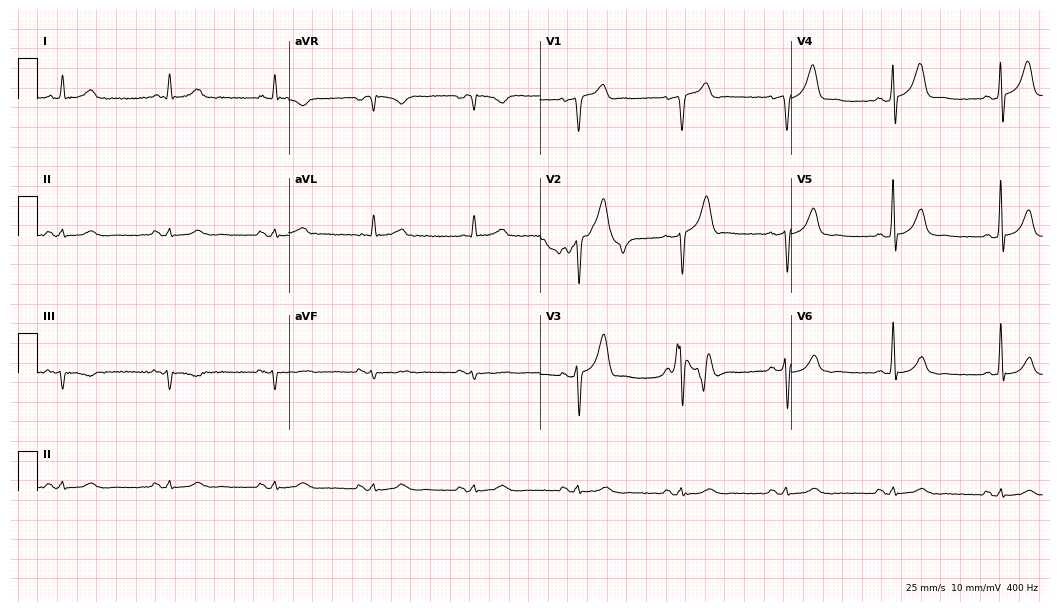
Standard 12-lead ECG recorded from a male patient, 63 years old. Read as a normal ECG.